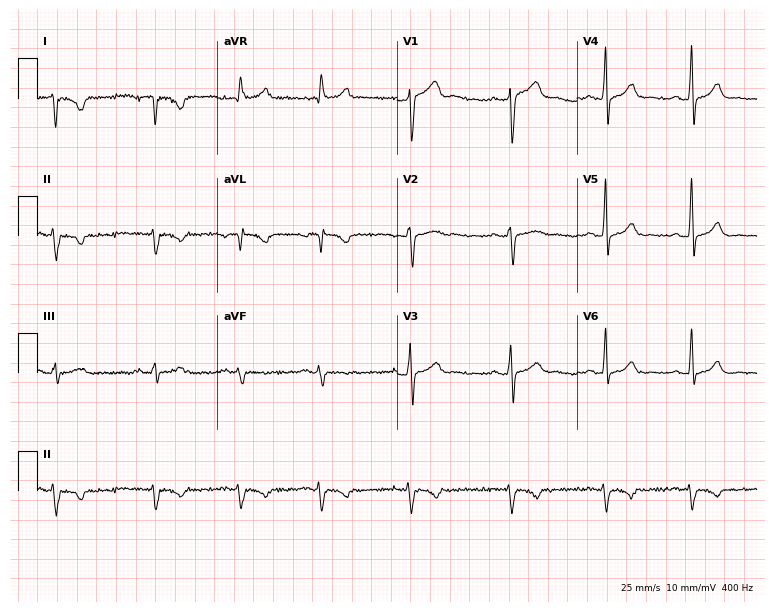
12-lead ECG from a 36-year-old male. No first-degree AV block, right bundle branch block, left bundle branch block, sinus bradycardia, atrial fibrillation or sinus tachycardia recorded for this tracing. Only these six findings were labelled.